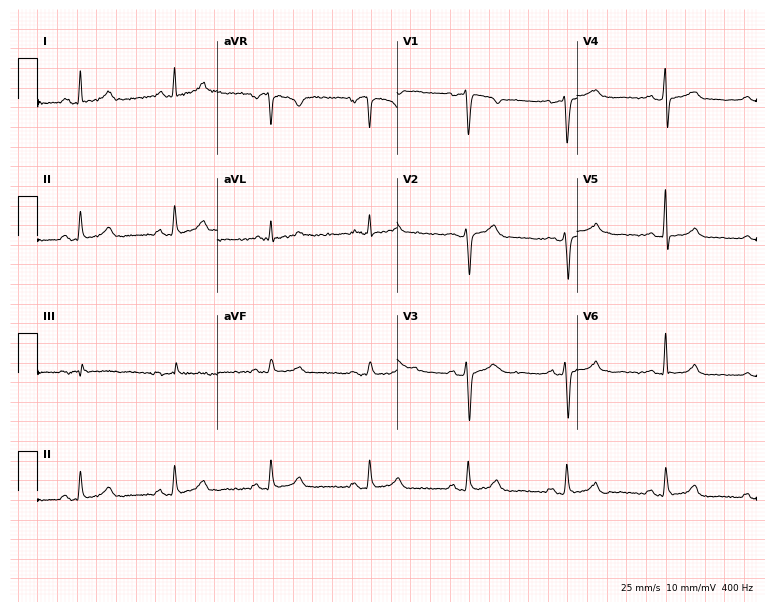
Electrocardiogram, a male patient, 47 years old. Of the six screened findings (first-degree AV block, right bundle branch block (RBBB), left bundle branch block (LBBB), sinus bradycardia, atrial fibrillation (AF), sinus tachycardia), none is recorded.